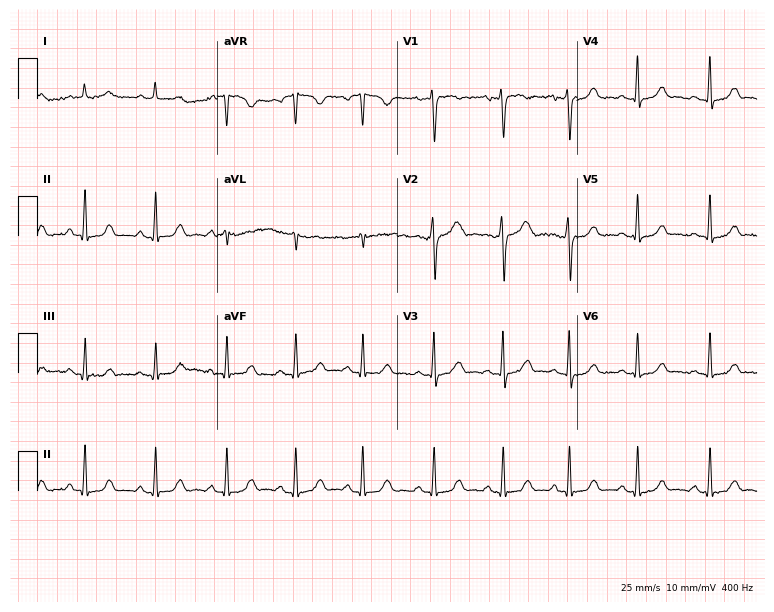
Electrocardiogram, a 21-year-old female. Of the six screened findings (first-degree AV block, right bundle branch block (RBBB), left bundle branch block (LBBB), sinus bradycardia, atrial fibrillation (AF), sinus tachycardia), none is recorded. Only these six findings were labelled.